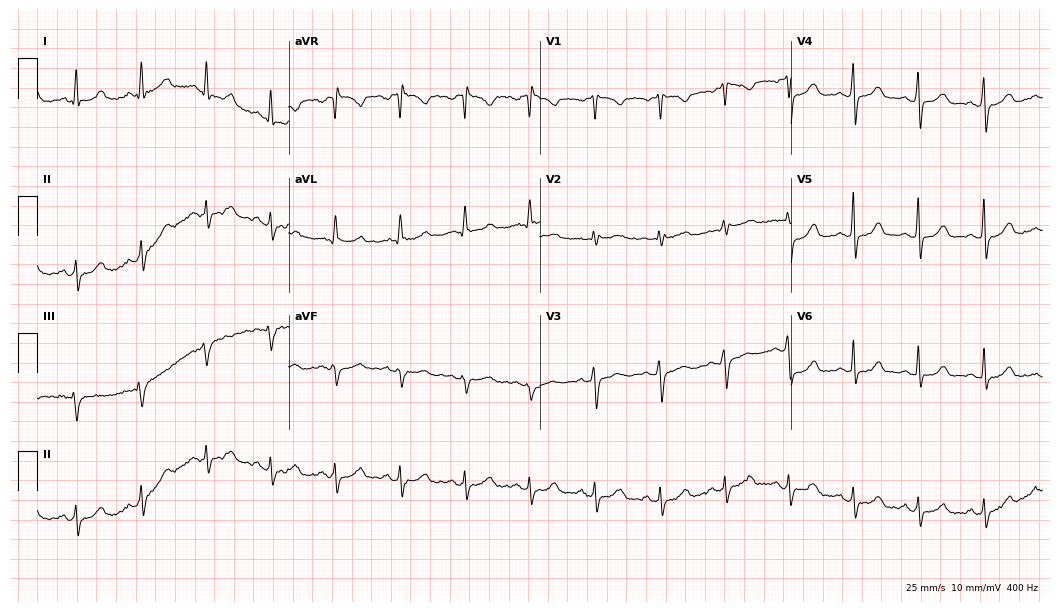
Standard 12-lead ECG recorded from a 48-year-old female patient (10.2-second recording at 400 Hz). None of these six findings is recorded: first-degree AV block, right bundle branch block (RBBB), left bundle branch block (LBBB), sinus bradycardia, atrial fibrillation (AF), sinus tachycardia. Other findings, if any, are not listed.